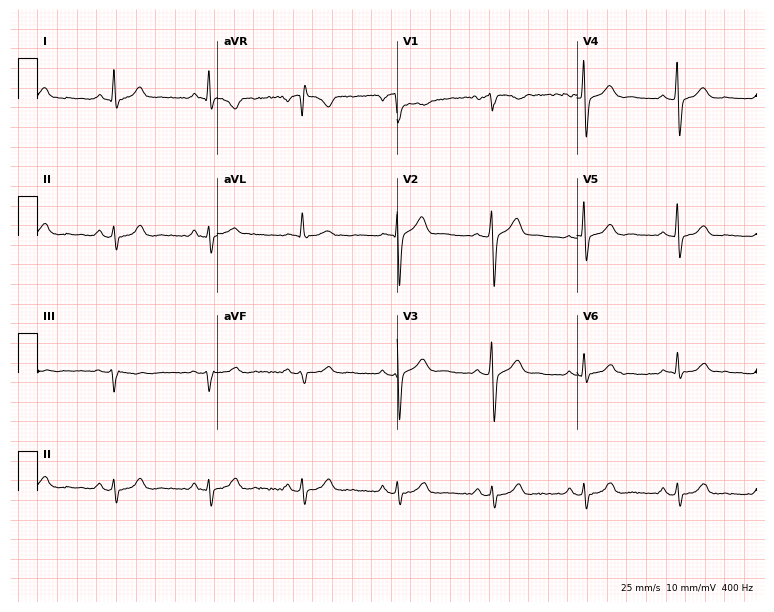
12-lead ECG (7.3-second recording at 400 Hz) from a 45-year-old male patient. Screened for six findings — first-degree AV block, right bundle branch block (RBBB), left bundle branch block (LBBB), sinus bradycardia, atrial fibrillation (AF), sinus tachycardia — none is recorded. Findings outside these six are not listed.